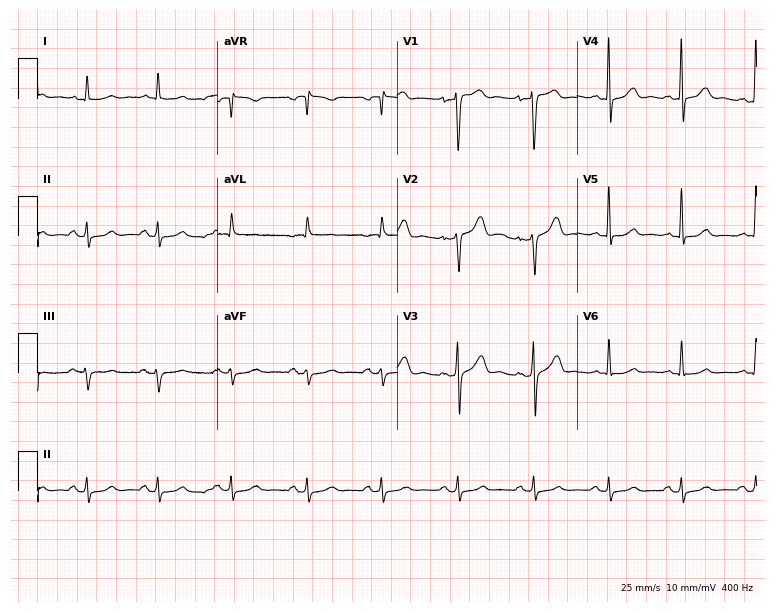
ECG (7.3-second recording at 400 Hz) — a male patient, 53 years old. Labelled as a normal ECG.